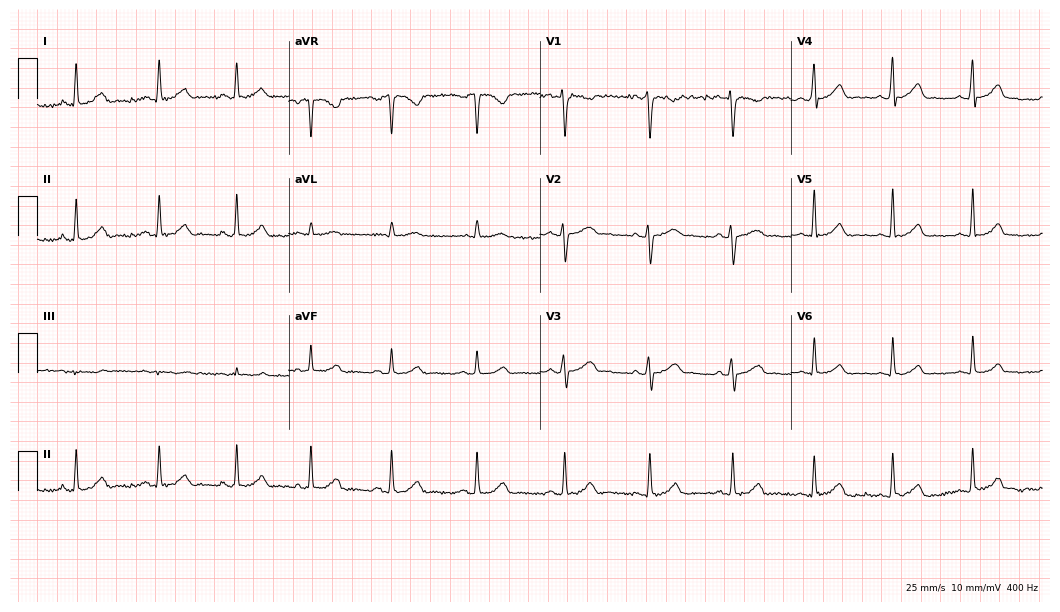
ECG — a woman, 36 years old. Screened for six findings — first-degree AV block, right bundle branch block, left bundle branch block, sinus bradycardia, atrial fibrillation, sinus tachycardia — none is recorded. Findings outside these six are not listed.